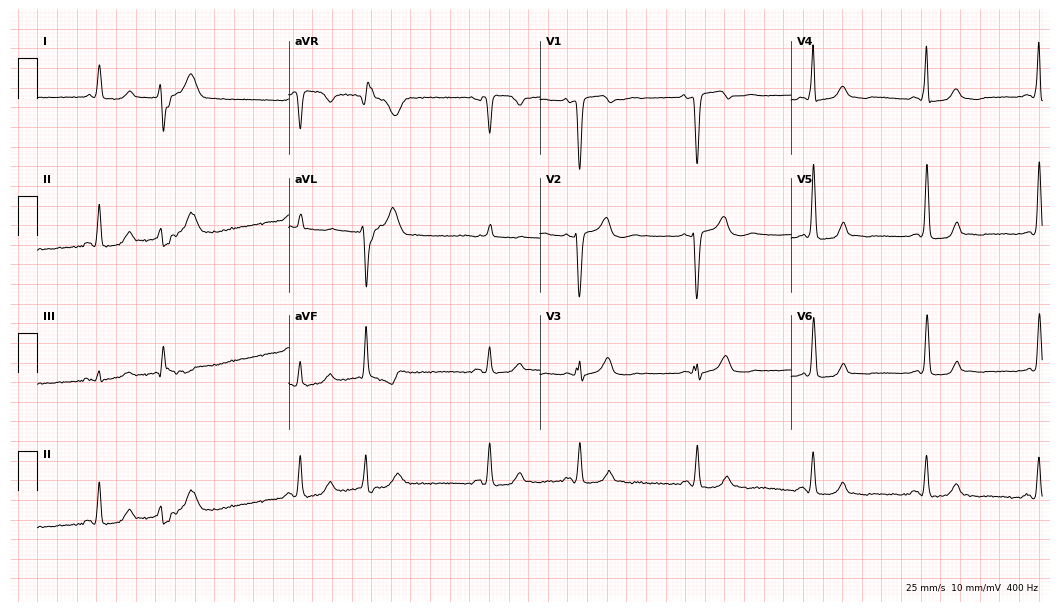
12-lead ECG (10.2-second recording at 400 Hz) from a woman, 56 years old. Labelled as a normal ECG.